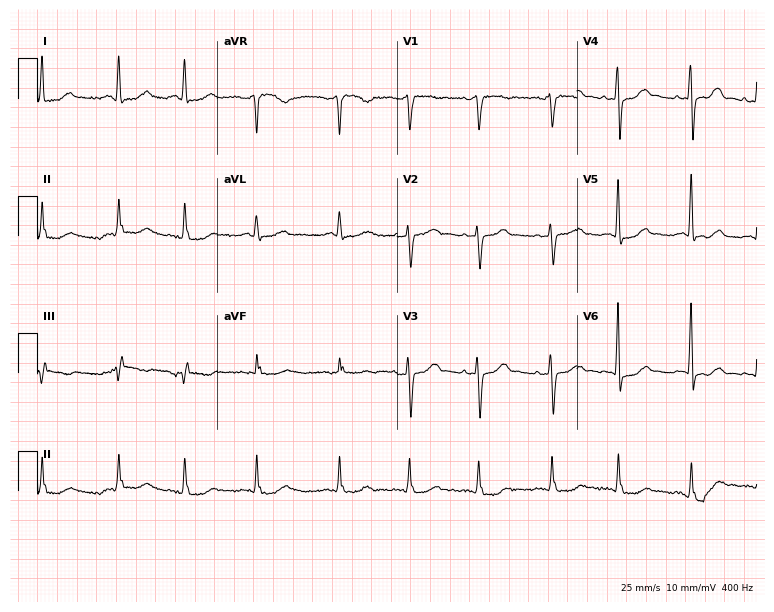
12-lead ECG from a female patient, 61 years old. No first-degree AV block, right bundle branch block (RBBB), left bundle branch block (LBBB), sinus bradycardia, atrial fibrillation (AF) or sinus tachycardia recorded for this tracing.